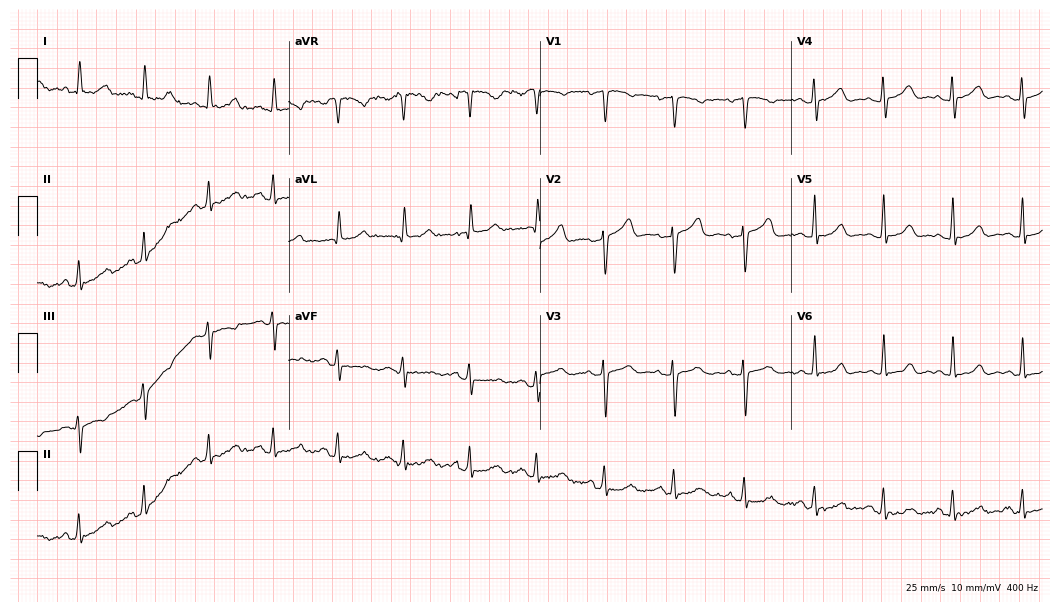
12-lead ECG from a 49-year-old female (10.2-second recording at 400 Hz). Recorded interpretation: within normal limits.